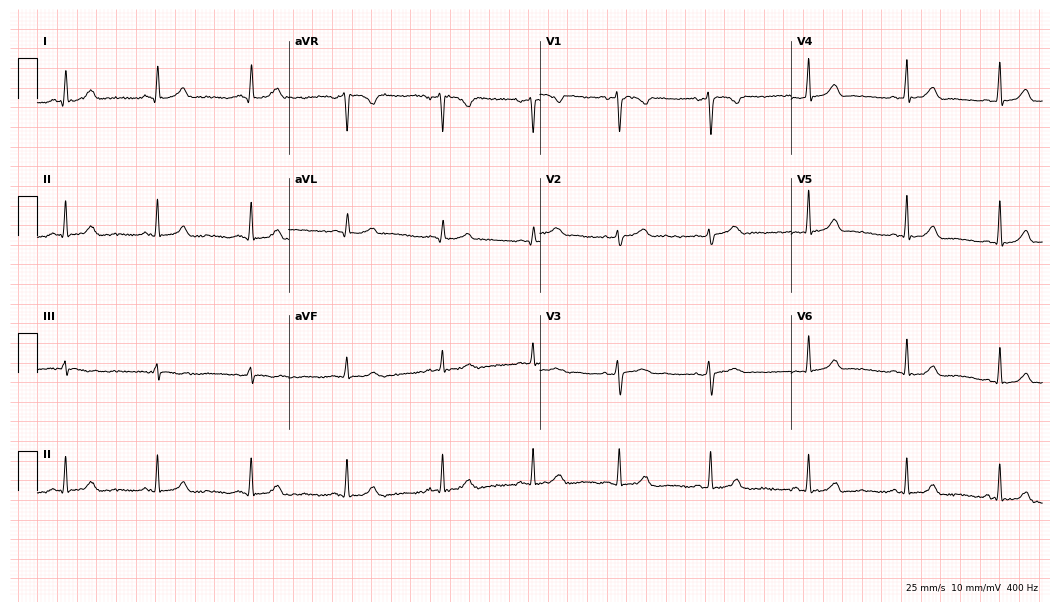
Electrocardiogram, a 28-year-old female. Overall reading on record: normal ECG.